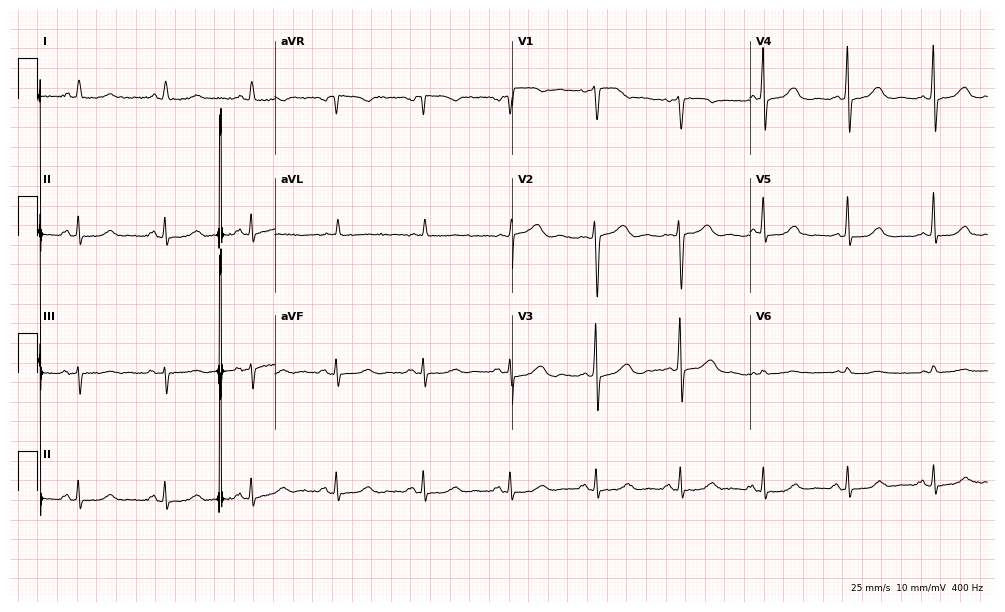
12-lead ECG from a female patient, 59 years old (9.7-second recording at 400 Hz). No first-degree AV block, right bundle branch block (RBBB), left bundle branch block (LBBB), sinus bradycardia, atrial fibrillation (AF) or sinus tachycardia recorded for this tracing. Other findings, if any, are not listed.